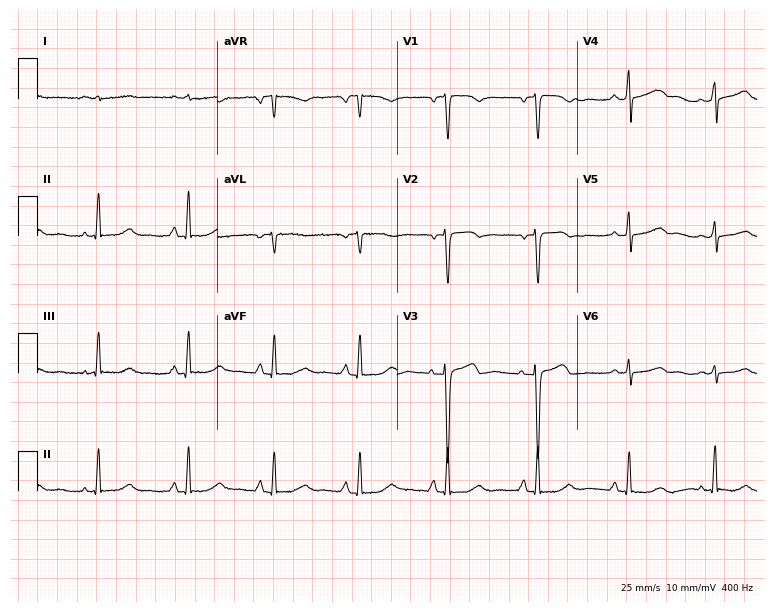
Resting 12-lead electrocardiogram (7.3-second recording at 400 Hz). Patient: a female, 57 years old. None of these six findings is recorded: first-degree AV block, right bundle branch block, left bundle branch block, sinus bradycardia, atrial fibrillation, sinus tachycardia. Other findings, if any, are not listed.